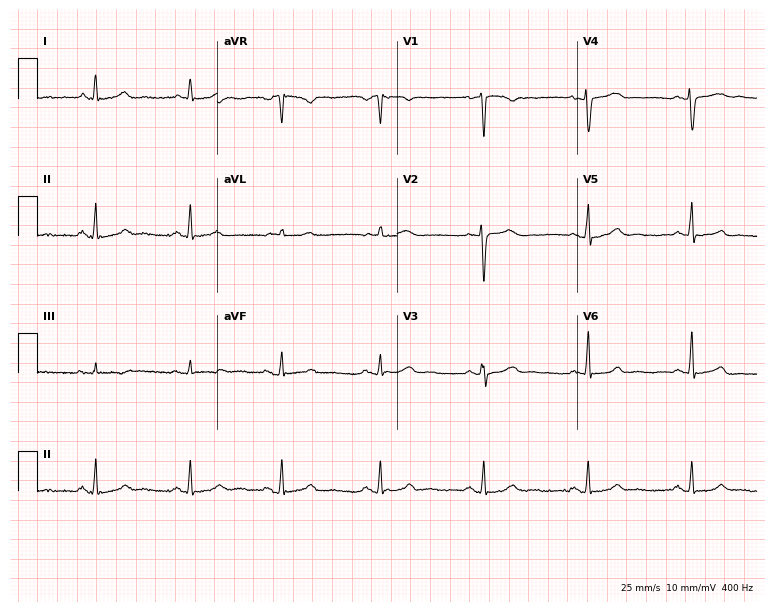
ECG — a 51-year-old female patient. Screened for six findings — first-degree AV block, right bundle branch block, left bundle branch block, sinus bradycardia, atrial fibrillation, sinus tachycardia — none is recorded. Other findings, if any, are not listed.